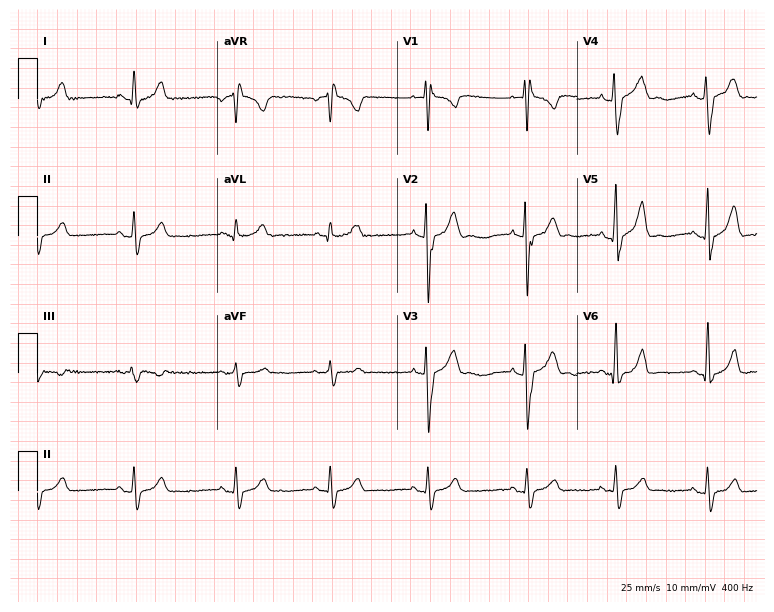
Electrocardiogram, a 17-year-old male patient. Of the six screened findings (first-degree AV block, right bundle branch block, left bundle branch block, sinus bradycardia, atrial fibrillation, sinus tachycardia), none is recorded.